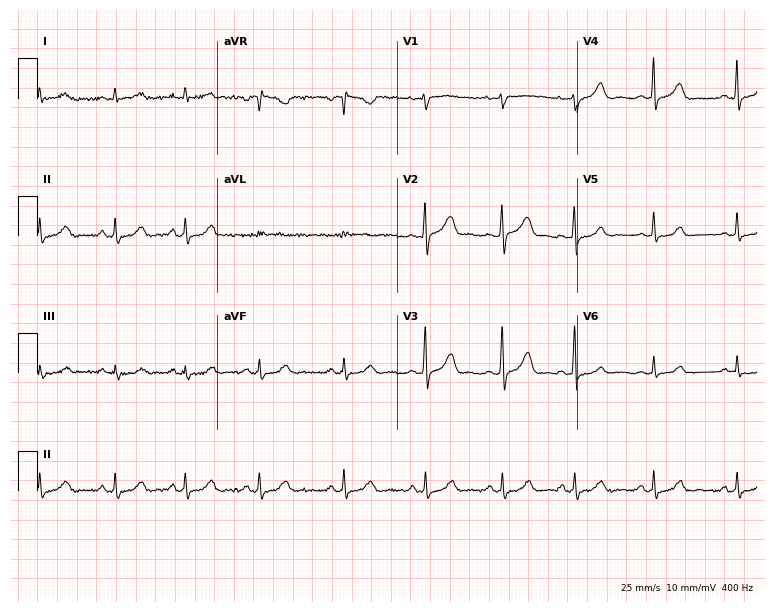
12-lead ECG (7.3-second recording at 400 Hz) from a woman, 32 years old. Labelled as a normal ECG.